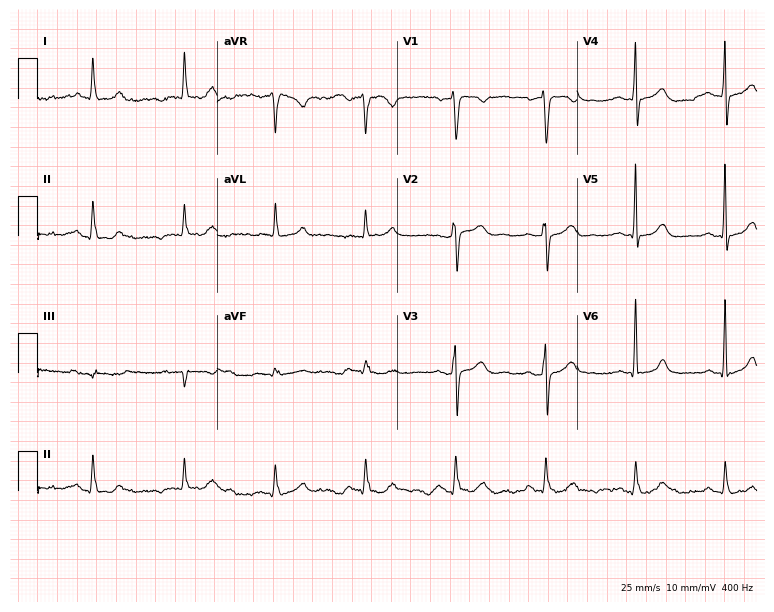
Resting 12-lead electrocardiogram (7.3-second recording at 400 Hz). Patient: a male, 53 years old. Read as a normal ECG.